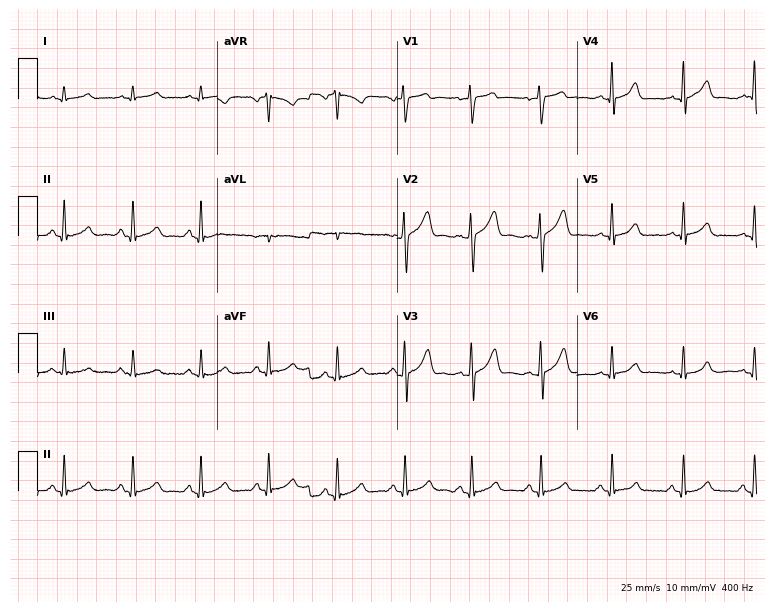
Standard 12-lead ECG recorded from a 42-year-old male (7.3-second recording at 400 Hz). Read as a normal ECG.